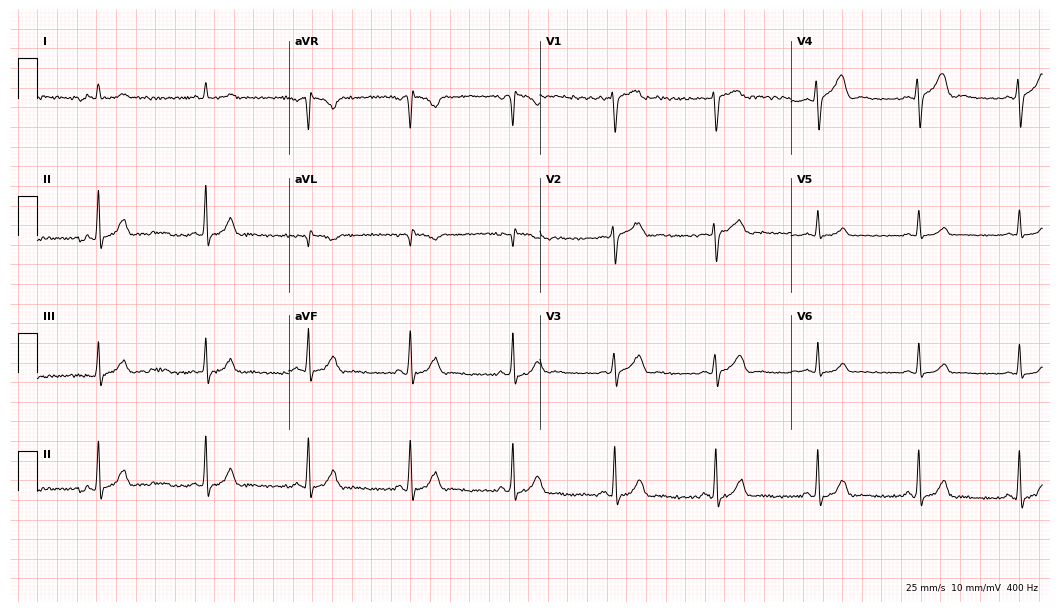
Resting 12-lead electrocardiogram (10.2-second recording at 400 Hz). Patient: a female, 23 years old. None of these six findings is recorded: first-degree AV block, right bundle branch block, left bundle branch block, sinus bradycardia, atrial fibrillation, sinus tachycardia. Other findings, if any, are not listed.